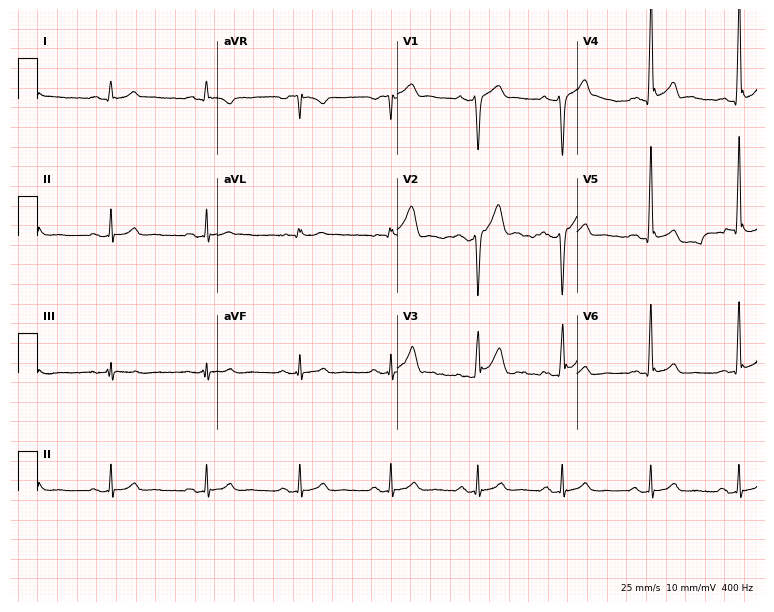
Standard 12-lead ECG recorded from a 38-year-old male (7.3-second recording at 400 Hz). Read as a normal ECG.